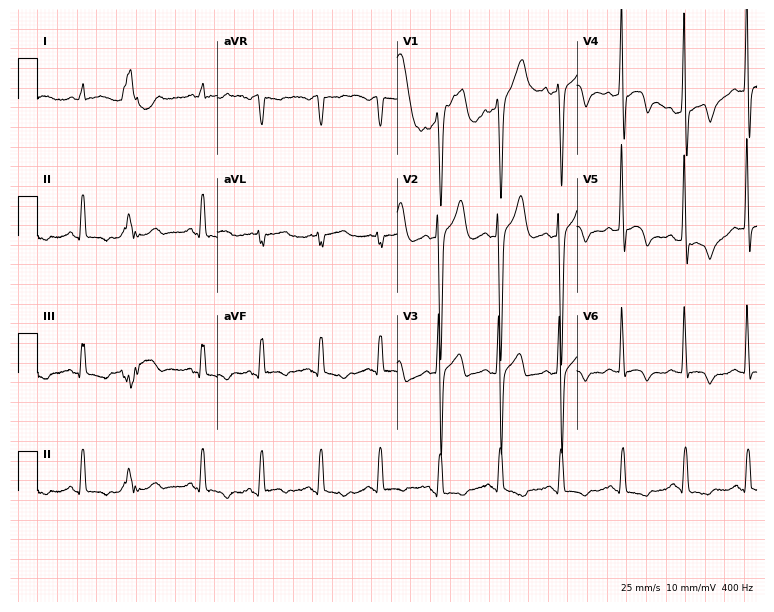
ECG (7.3-second recording at 400 Hz) — a man, 46 years old. Screened for six findings — first-degree AV block, right bundle branch block, left bundle branch block, sinus bradycardia, atrial fibrillation, sinus tachycardia — none is recorded. Only these six findings were labelled.